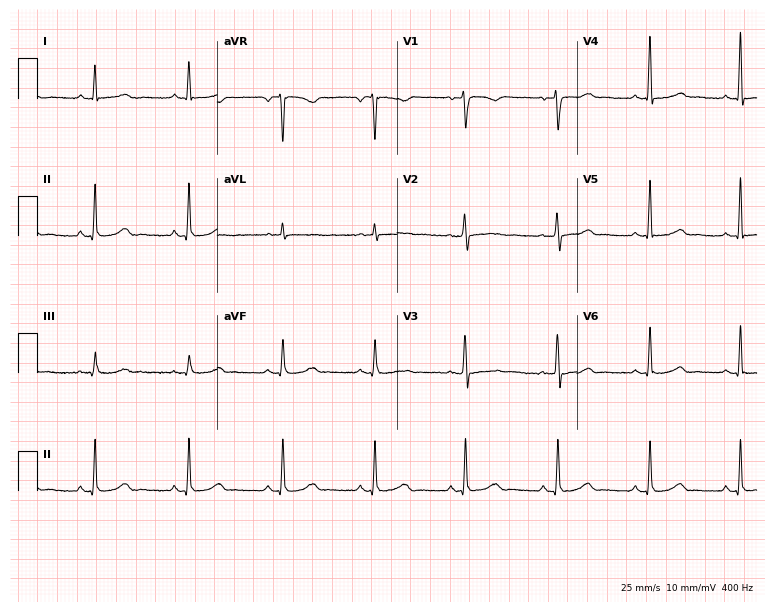
Standard 12-lead ECG recorded from a 47-year-old female patient (7.3-second recording at 400 Hz). Read as a normal ECG.